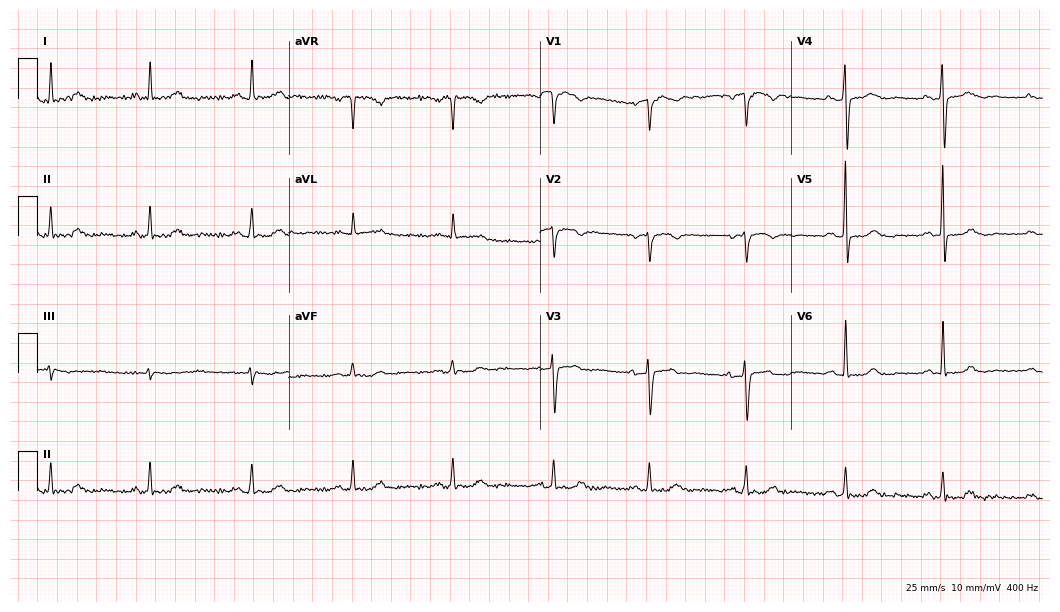
12-lead ECG from a 70-year-old woman. Labelled as a normal ECG.